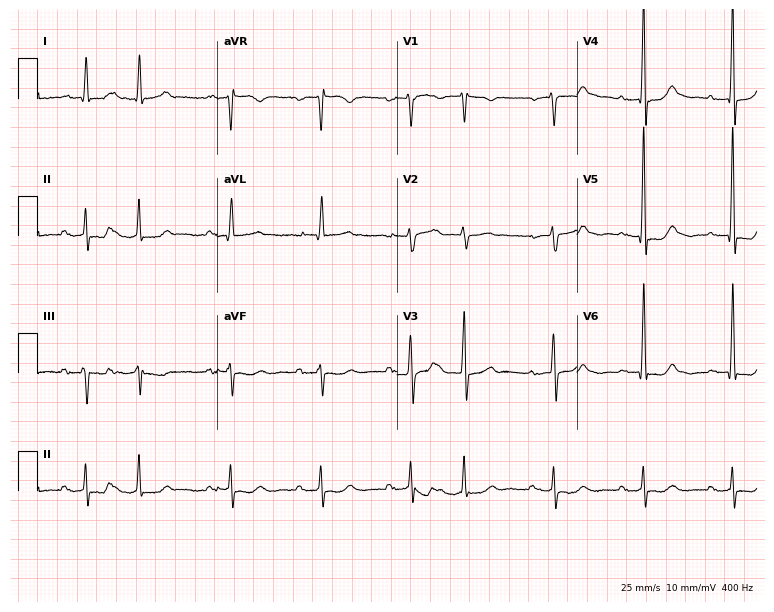
Electrocardiogram, a man, 65 years old. Of the six screened findings (first-degree AV block, right bundle branch block, left bundle branch block, sinus bradycardia, atrial fibrillation, sinus tachycardia), none is recorded.